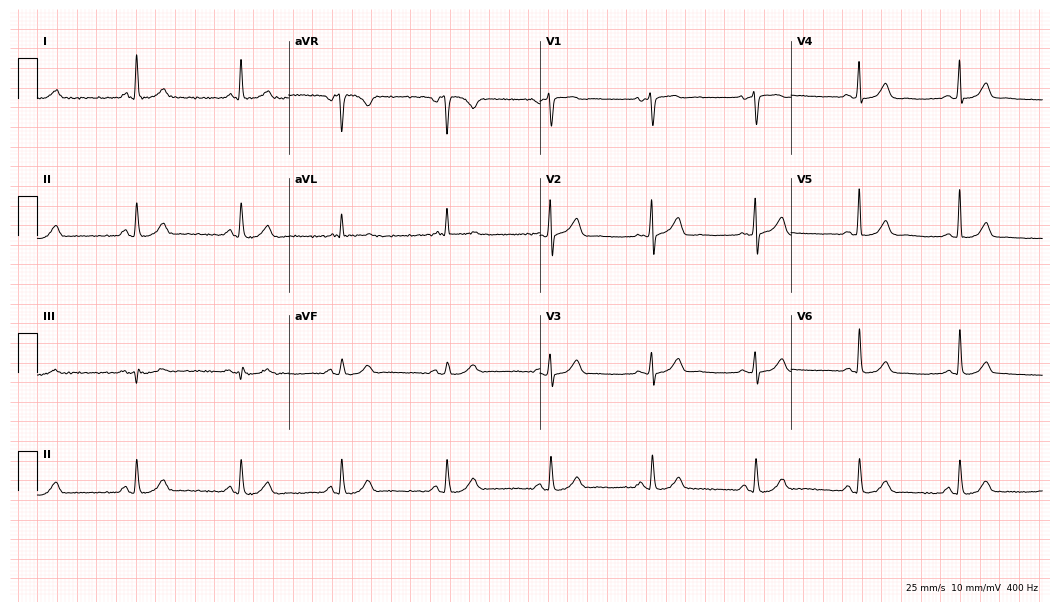
ECG (10.2-second recording at 400 Hz) — a female, 66 years old. Labelled as a normal ECG.